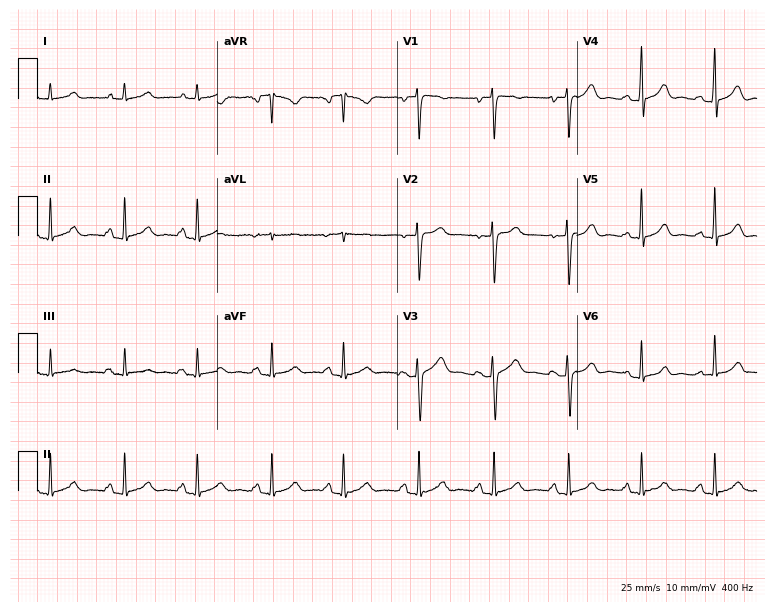
12-lead ECG from a woman, 23 years old. Labelled as a normal ECG.